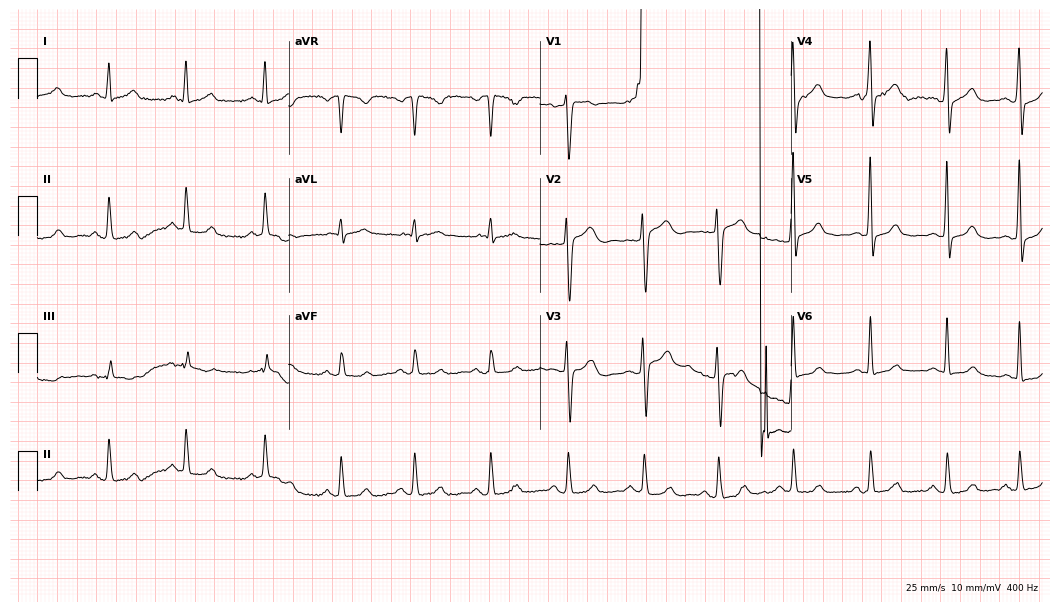
12-lead ECG from a female patient, 55 years old (10.2-second recording at 400 Hz). Recorded interpretation: within normal limits.